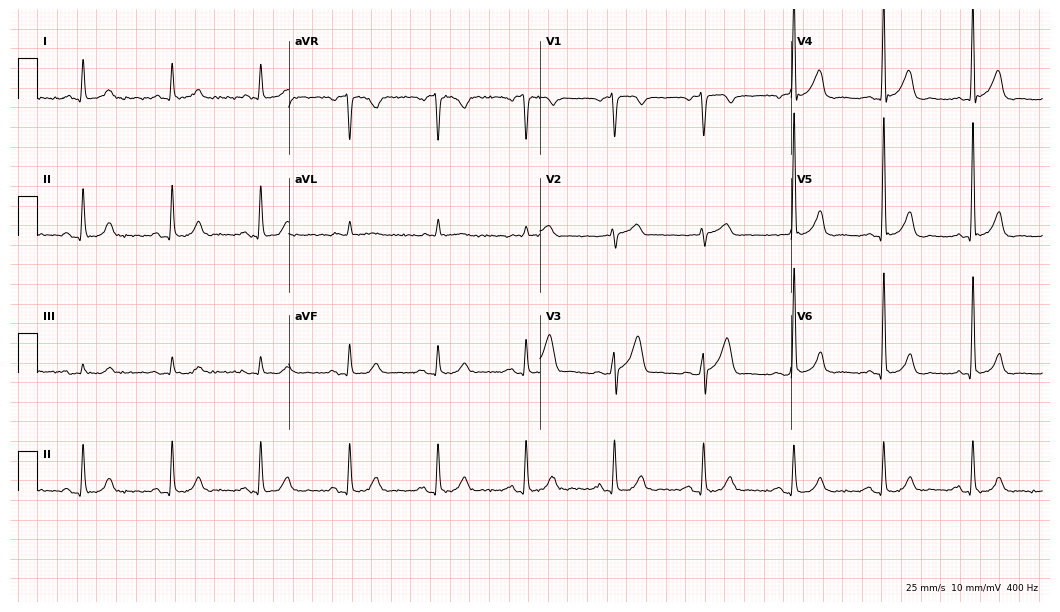
ECG (10.2-second recording at 400 Hz) — a male, 73 years old. Labelled as a normal ECG.